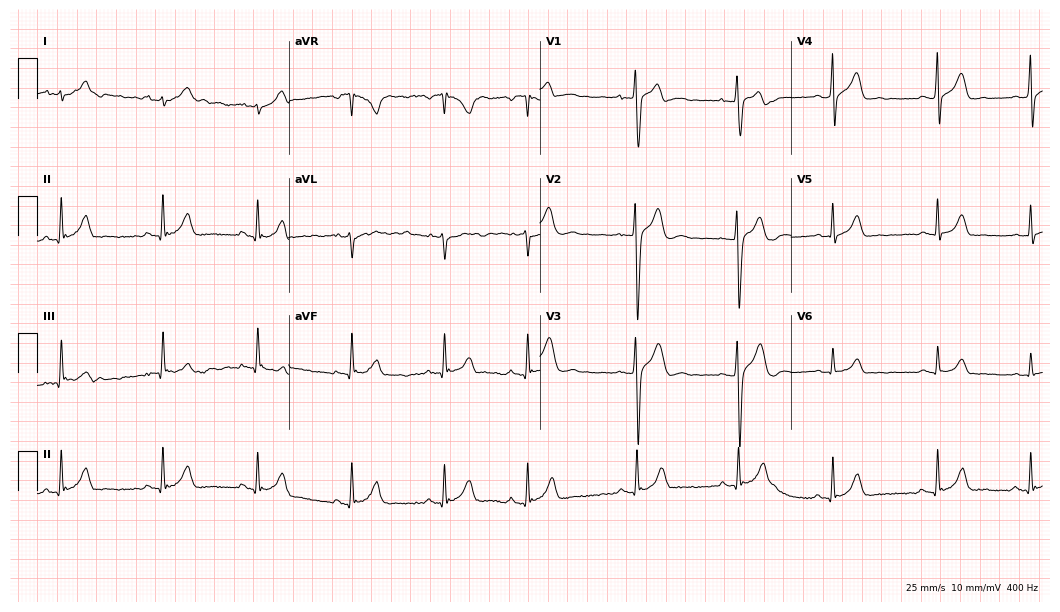
ECG (10.2-second recording at 400 Hz) — a 17-year-old man. Labelled as a normal ECG.